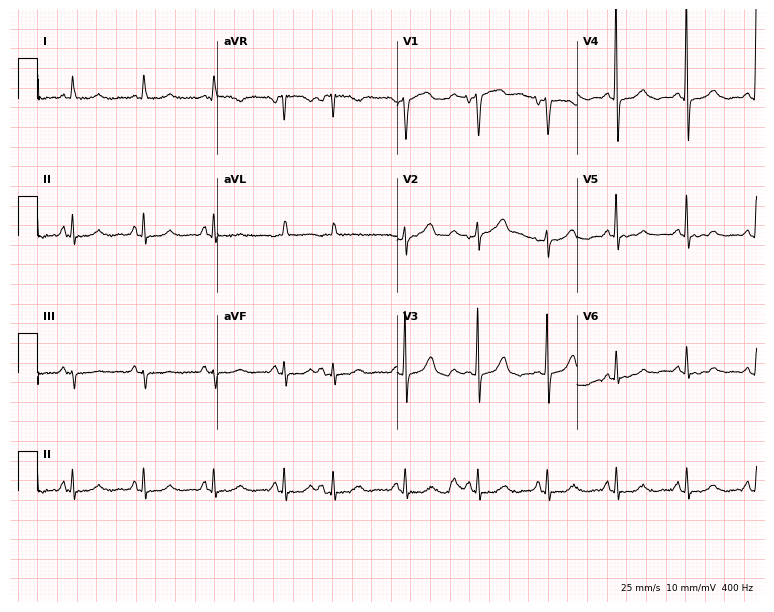
12-lead ECG from an 81-year-old female. No first-degree AV block, right bundle branch block, left bundle branch block, sinus bradycardia, atrial fibrillation or sinus tachycardia recorded for this tracing. Findings outside these six are not listed.